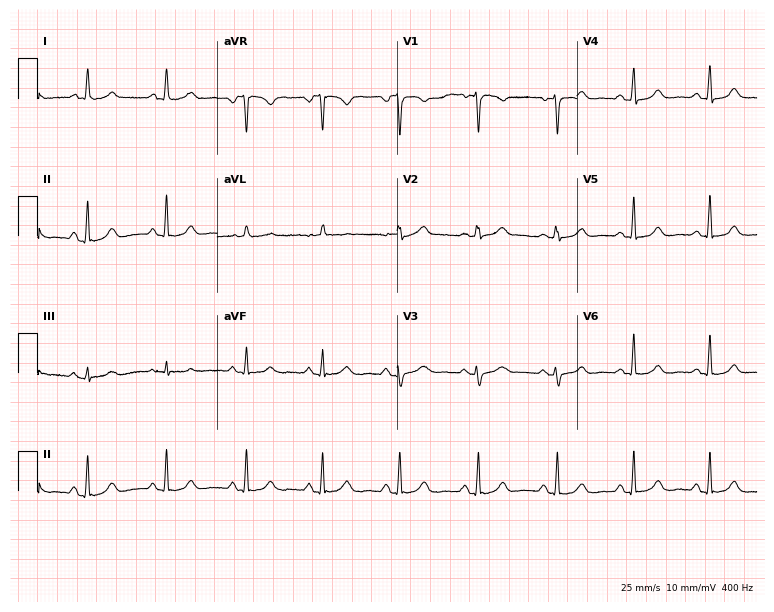
Electrocardiogram (7.3-second recording at 400 Hz), a female, 50 years old. Overall reading on record: normal ECG.